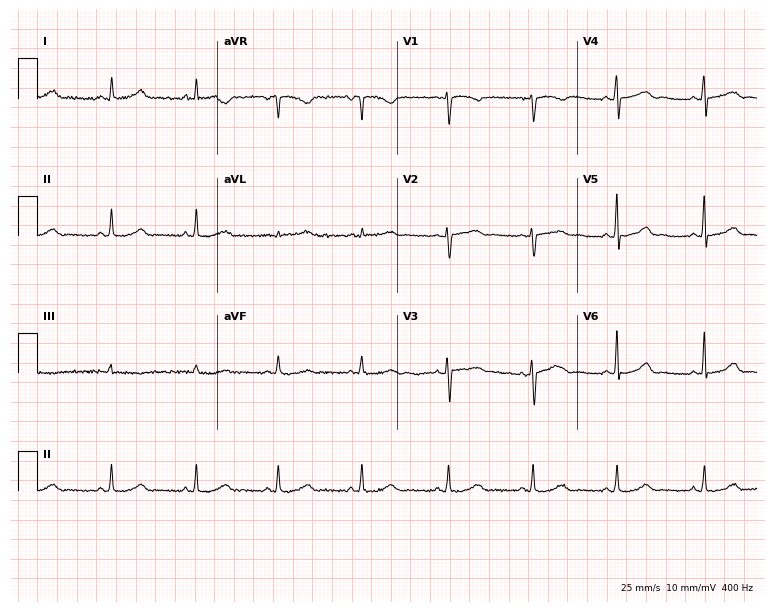
12-lead ECG from a 47-year-old female (7.3-second recording at 400 Hz). Recorded interpretation: within normal limits.